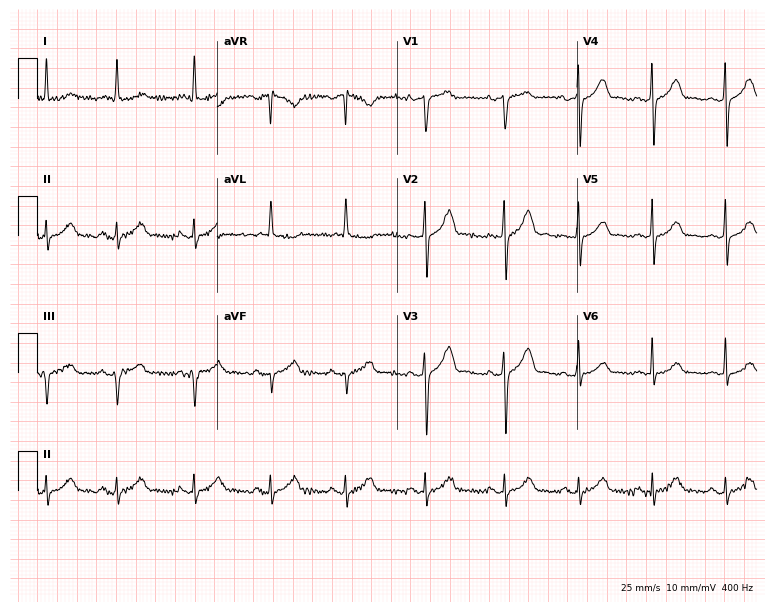
Electrocardiogram, a woman, 74 years old. Of the six screened findings (first-degree AV block, right bundle branch block (RBBB), left bundle branch block (LBBB), sinus bradycardia, atrial fibrillation (AF), sinus tachycardia), none is recorded.